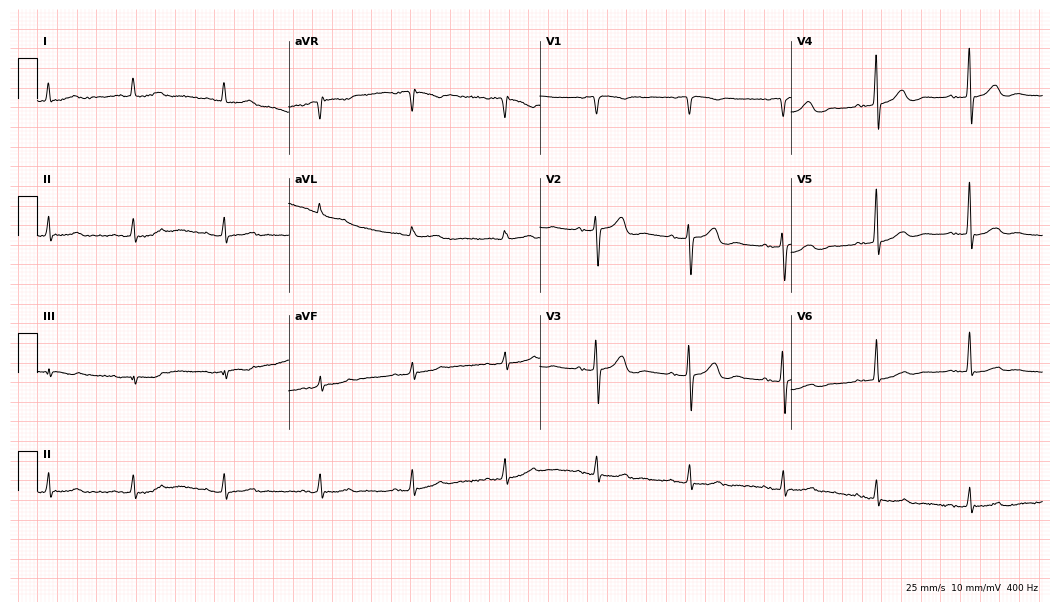
Standard 12-lead ECG recorded from a 76-year-old woman. None of these six findings is recorded: first-degree AV block, right bundle branch block (RBBB), left bundle branch block (LBBB), sinus bradycardia, atrial fibrillation (AF), sinus tachycardia. Other findings, if any, are not listed.